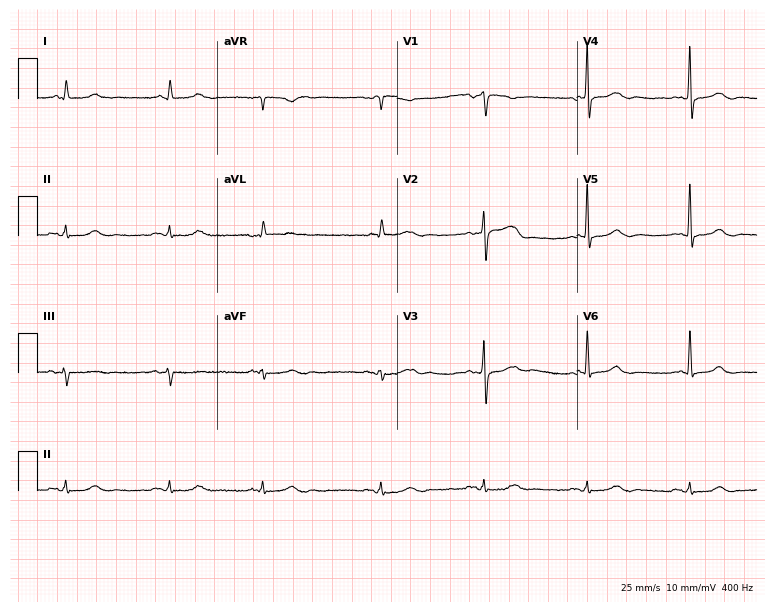
12-lead ECG from an 84-year-old male patient. Labelled as a normal ECG.